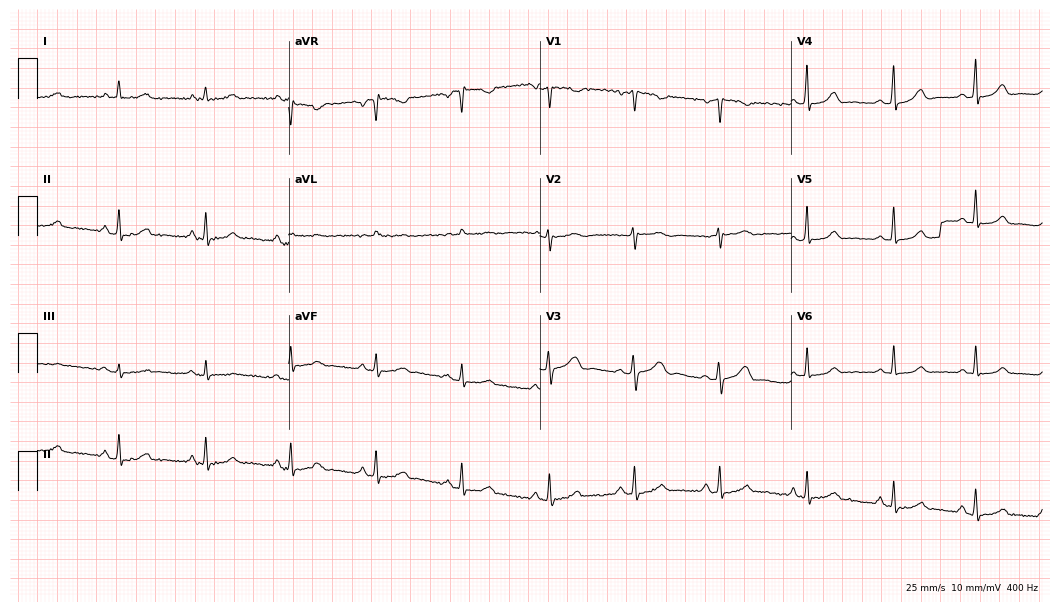
Resting 12-lead electrocardiogram. Patient: a female, 47 years old. Read as a normal ECG.